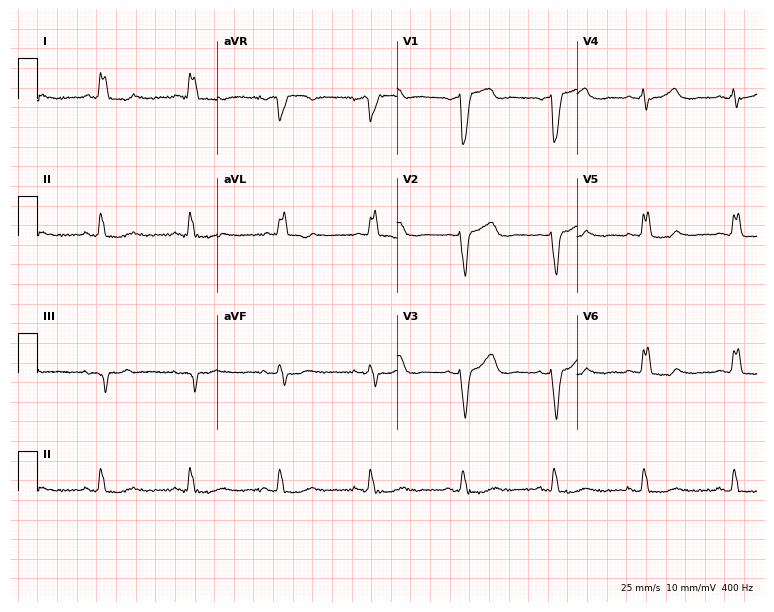
12-lead ECG from an 84-year-old female patient. Shows left bundle branch block.